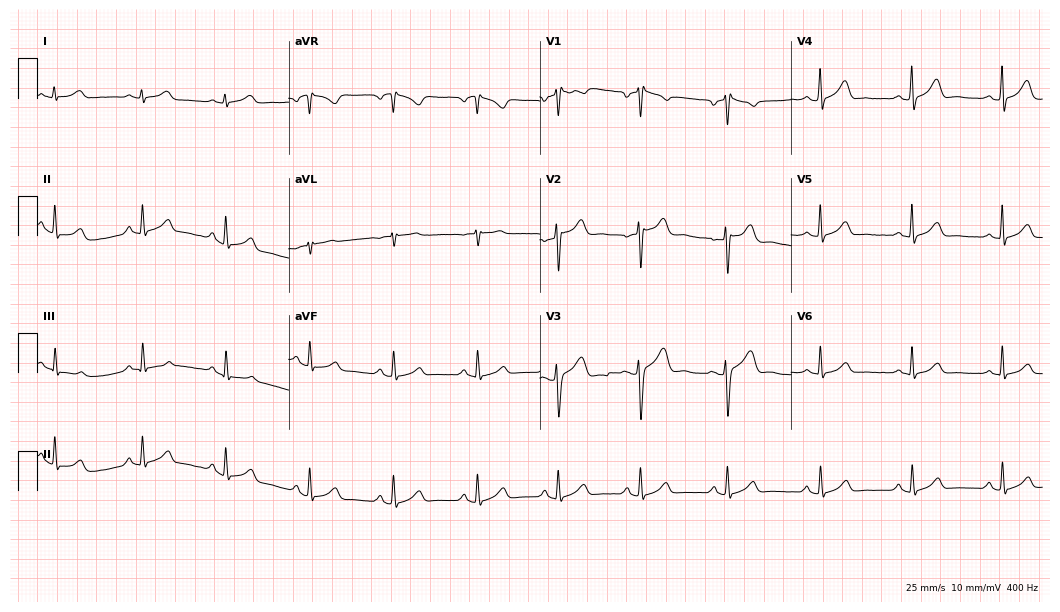
ECG — a 37-year-old male. Labelled as a normal ECG.